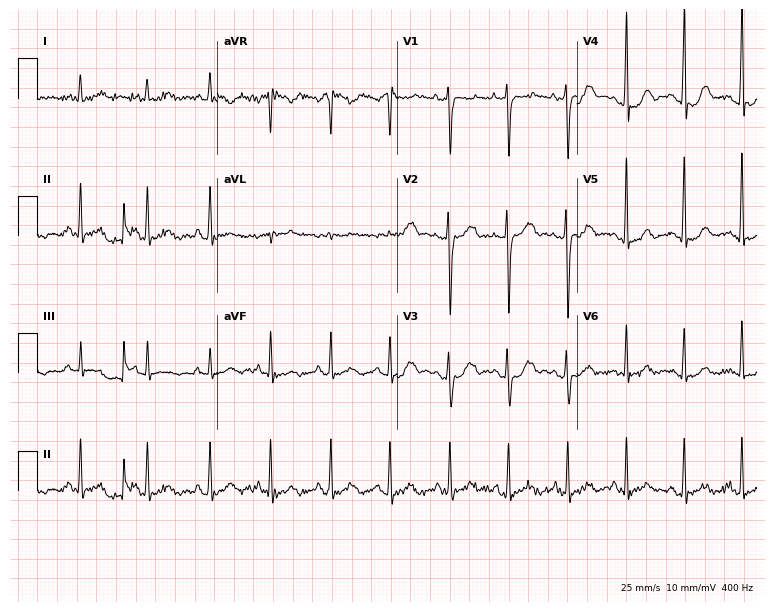
12-lead ECG (7.3-second recording at 400 Hz) from a 28-year-old female patient. Labelled as a normal ECG.